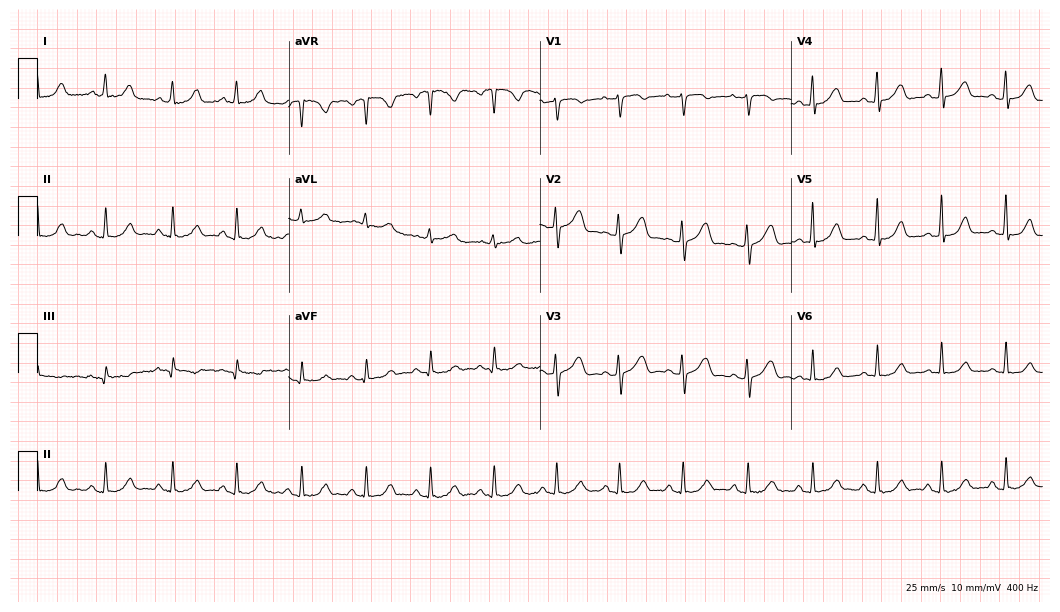
12-lead ECG from a female patient, 52 years old (10.2-second recording at 400 Hz). No first-degree AV block, right bundle branch block (RBBB), left bundle branch block (LBBB), sinus bradycardia, atrial fibrillation (AF) or sinus tachycardia recorded for this tracing.